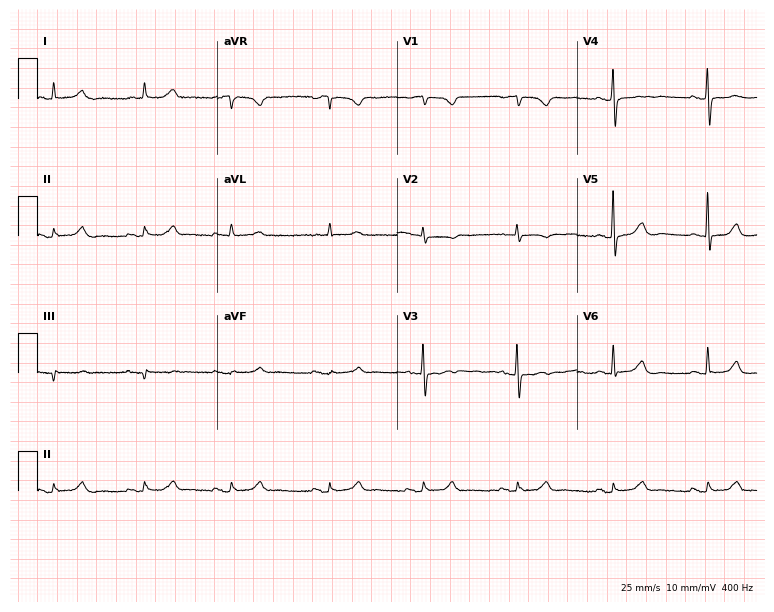
12-lead ECG from a 79-year-old female. Recorded interpretation: within normal limits.